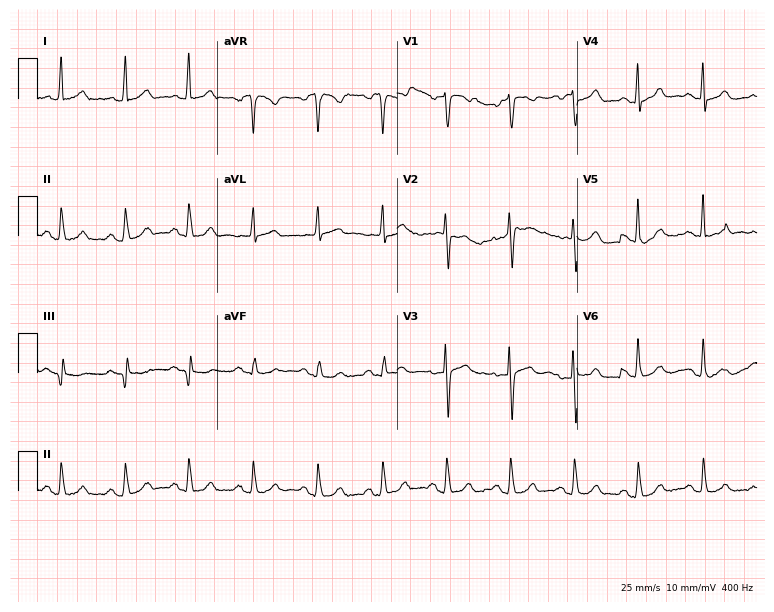
Resting 12-lead electrocardiogram (7.3-second recording at 400 Hz). Patient: a 69-year-old female. Read as a normal ECG.